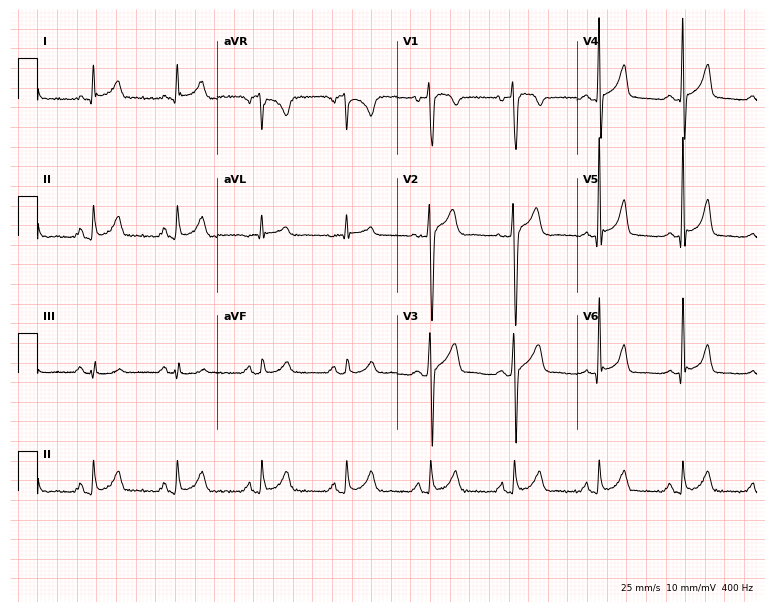
Standard 12-lead ECG recorded from a 47-year-old male (7.3-second recording at 400 Hz). Read as a normal ECG.